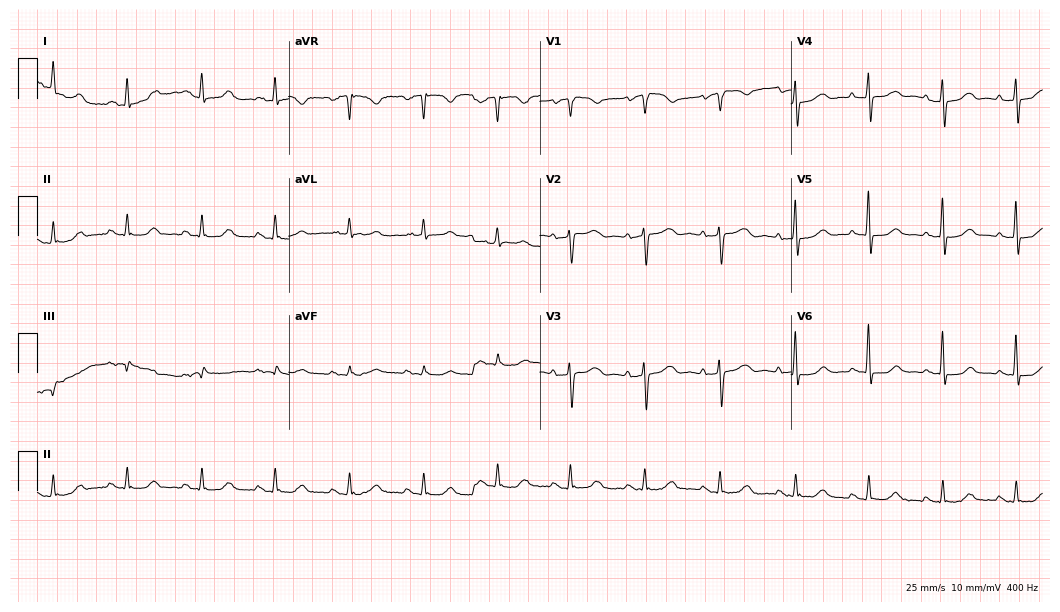
12-lead ECG from a female, 78 years old. No first-degree AV block, right bundle branch block (RBBB), left bundle branch block (LBBB), sinus bradycardia, atrial fibrillation (AF) or sinus tachycardia recorded for this tracing.